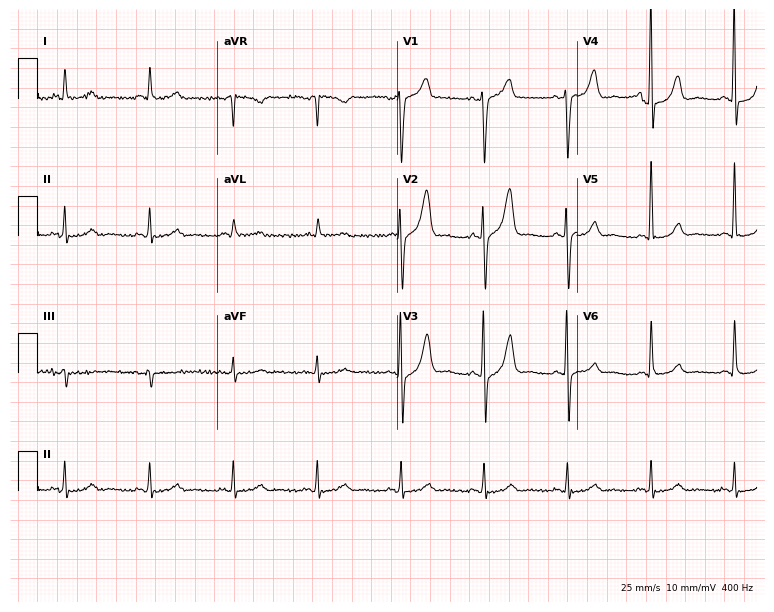
Resting 12-lead electrocardiogram (7.3-second recording at 400 Hz). Patient: a male, 77 years old. Read as a normal ECG.